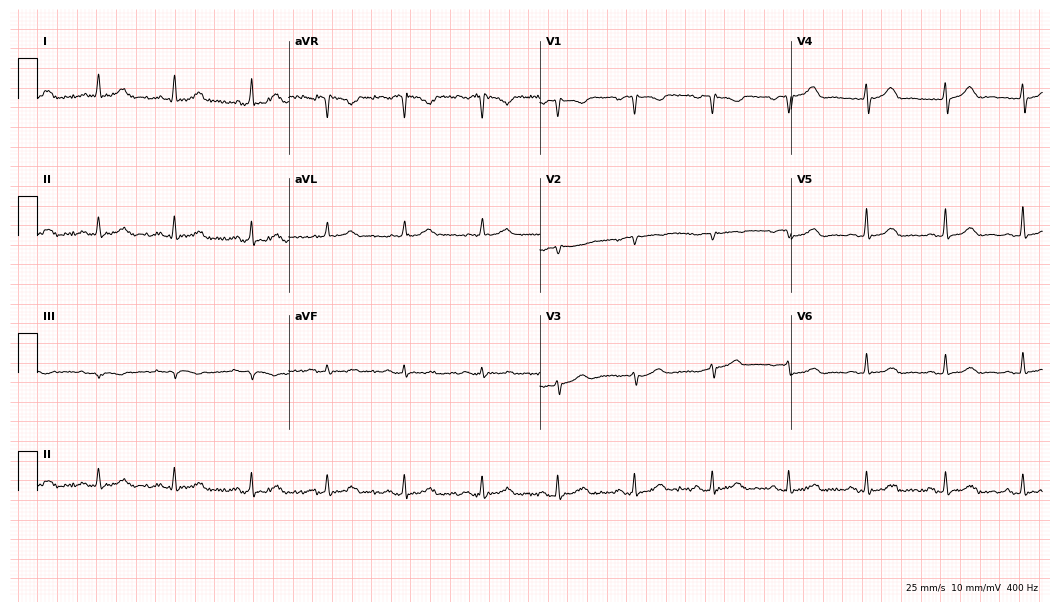
Standard 12-lead ECG recorded from a woman, 72 years old (10.2-second recording at 400 Hz). Read as a normal ECG.